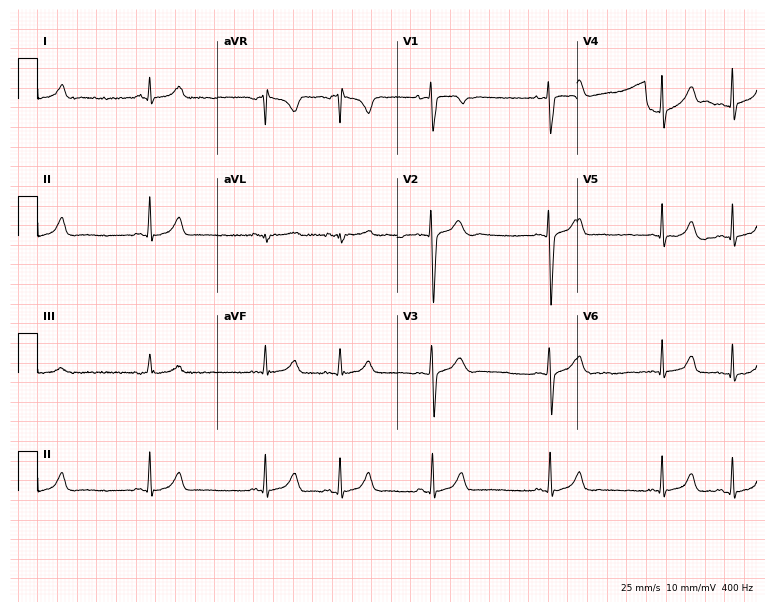
12-lead ECG (7.3-second recording at 400 Hz) from a woman, 21 years old. Labelled as a normal ECG.